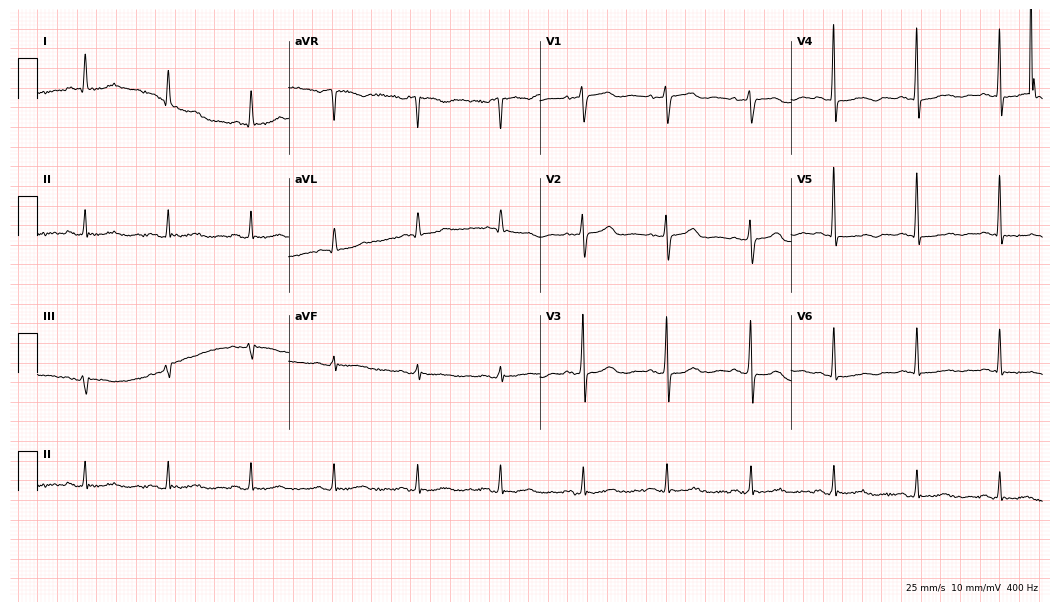
Electrocardiogram, an 81-year-old female. Of the six screened findings (first-degree AV block, right bundle branch block (RBBB), left bundle branch block (LBBB), sinus bradycardia, atrial fibrillation (AF), sinus tachycardia), none is recorded.